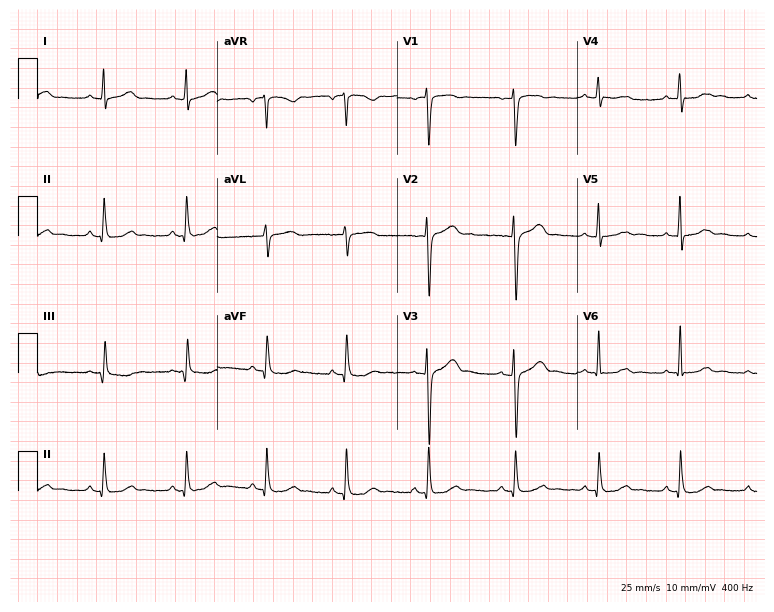
Electrocardiogram (7.3-second recording at 400 Hz), a male patient, 44 years old. Overall reading on record: normal ECG.